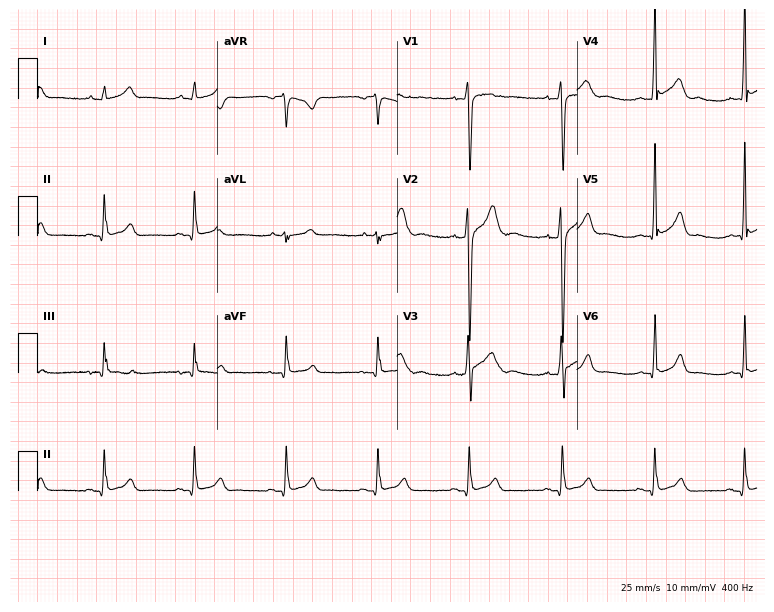
Standard 12-lead ECG recorded from a male, 18 years old (7.3-second recording at 400 Hz). Read as a normal ECG.